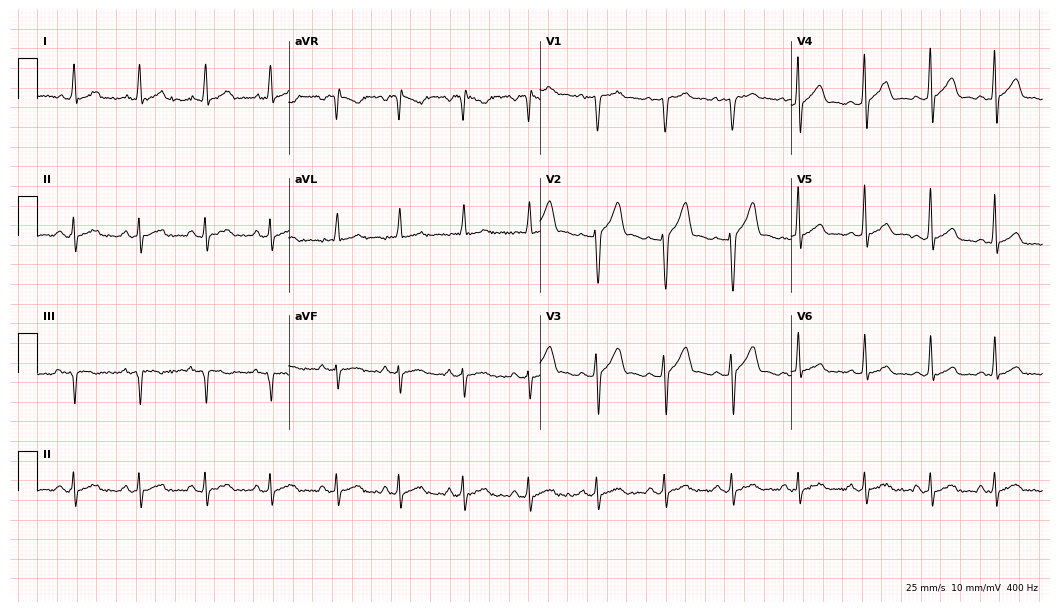
Resting 12-lead electrocardiogram (10.2-second recording at 400 Hz). Patient: a male, 43 years old. Read as a normal ECG.